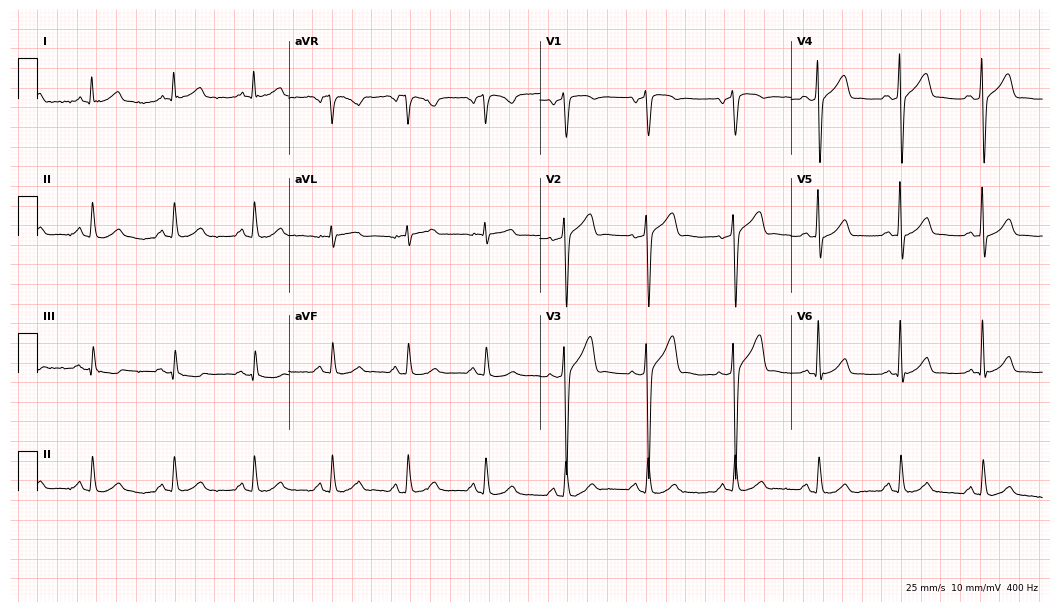
Standard 12-lead ECG recorded from a 54-year-old male (10.2-second recording at 400 Hz). Read as a normal ECG.